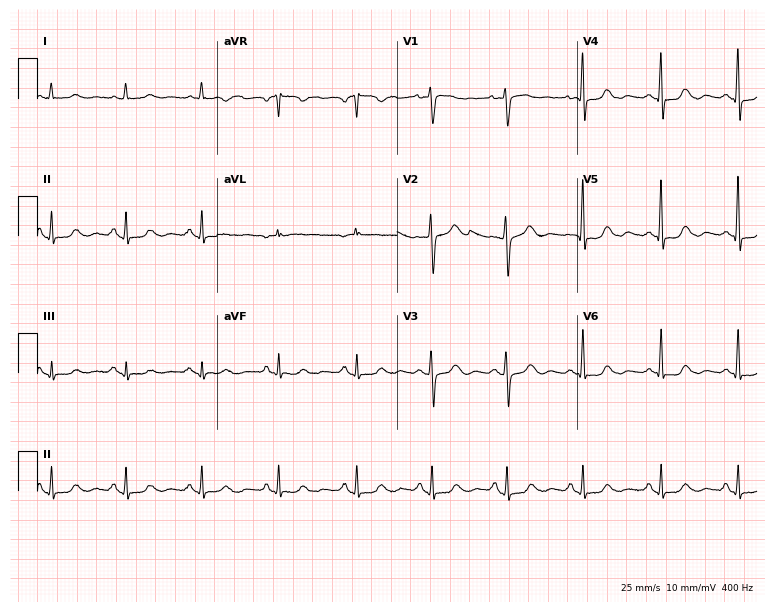
12-lead ECG from a 69-year-old female. Recorded interpretation: within normal limits.